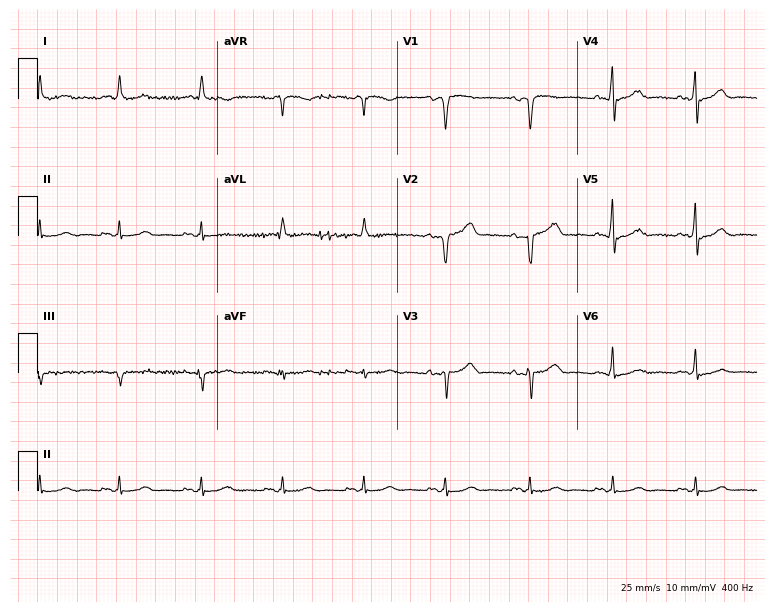
Electrocardiogram (7.3-second recording at 400 Hz), a male patient, 70 years old. Overall reading on record: normal ECG.